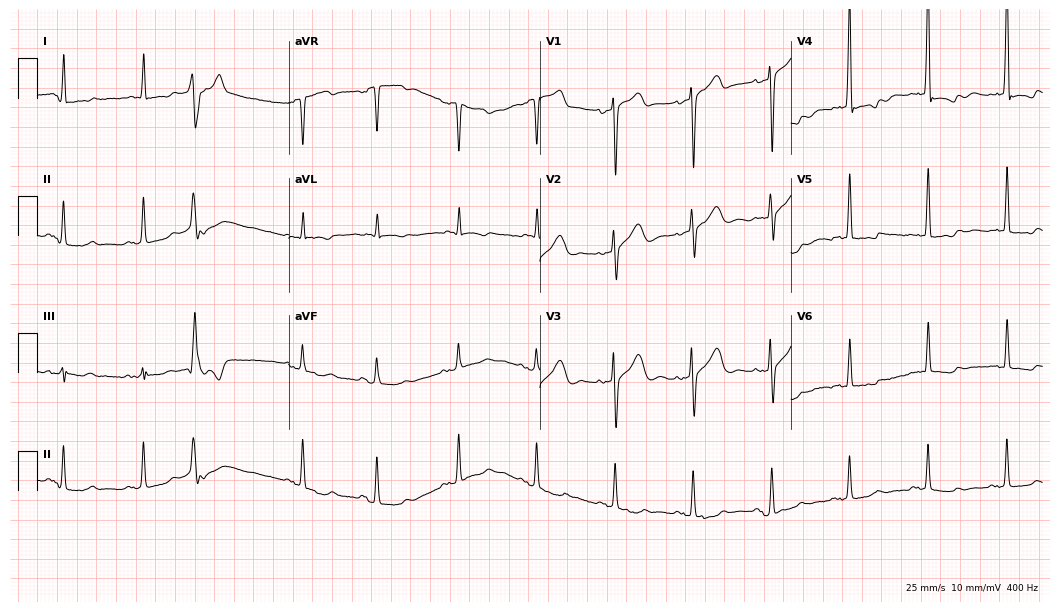
12-lead ECG from a male patient, 79 years old. No first-degree AV block, right bundle branch block, left bundle branch block, sinus bradycardia, atrial fibrillation or sinus tachycardia recorded for this tracing.